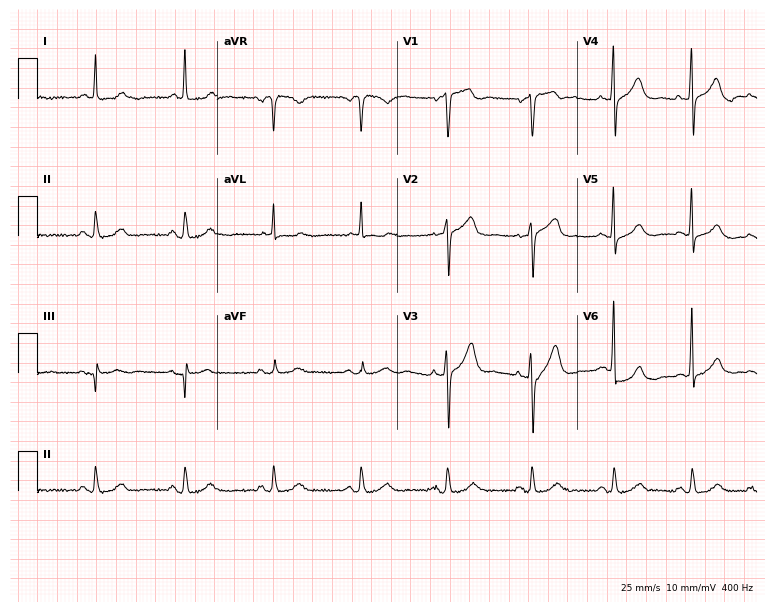
12-lead ECG (7.3-second recording at 400 Hz) from a male, 68 years old. Screened for six findings — first-degree AV block, right bundle branch block, left bundle branch block, sinus bradycardia, atrial fibrillation, sinus tachycardia — none is recorded. Findings outside these six are not listed.